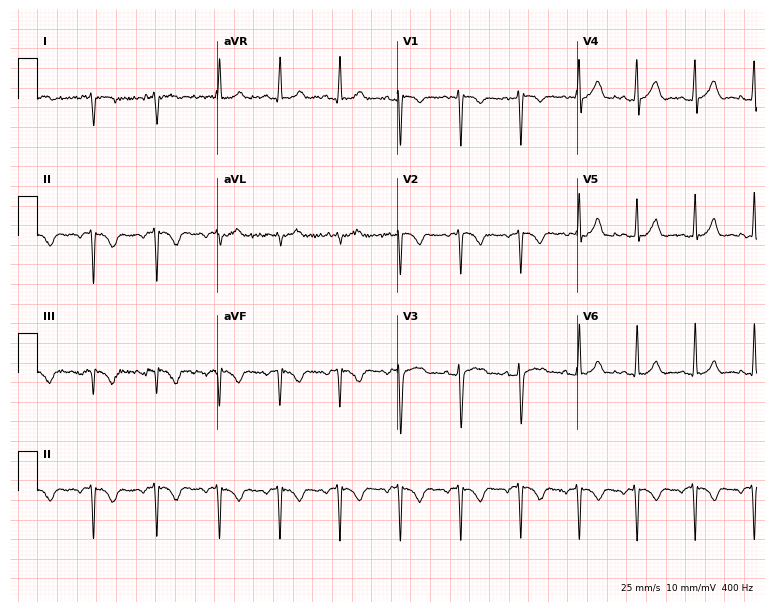
12-lead ECG from a female, 36 years old. No first-degree AV block, right bundle branch block, left bundle branch block, sinus bradycardia, atrial fibrillation or sinus tachycardia recorded for this tracing. Other findings, if any, are not listed.